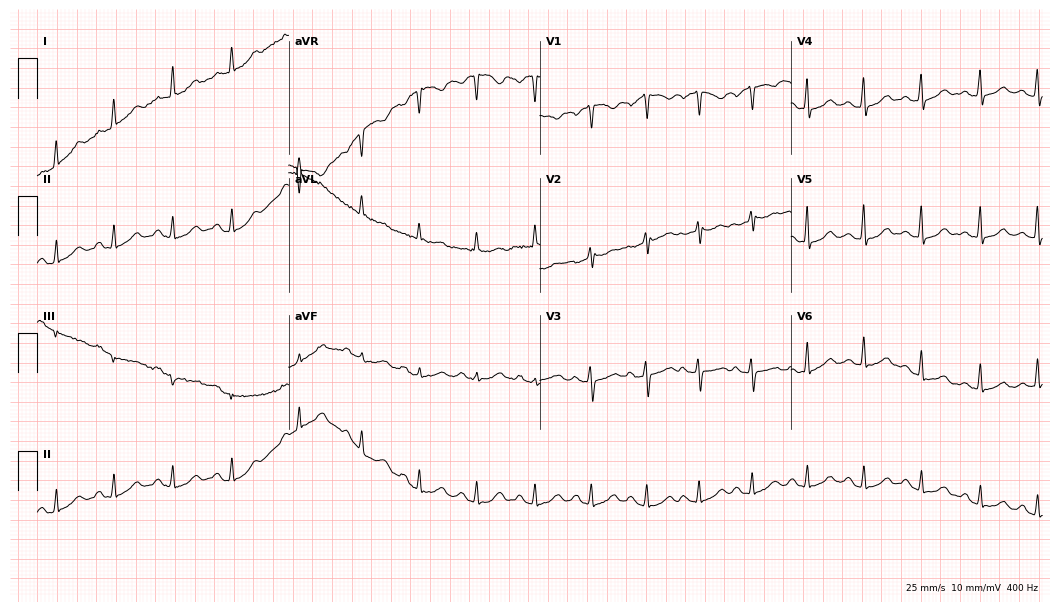
12-lead ECG (10.2-second recording at 400 Hz) from a female patient, 42 years old. Findings include sinus tachycardia (a sinus rate of 100 beats per minute or more).